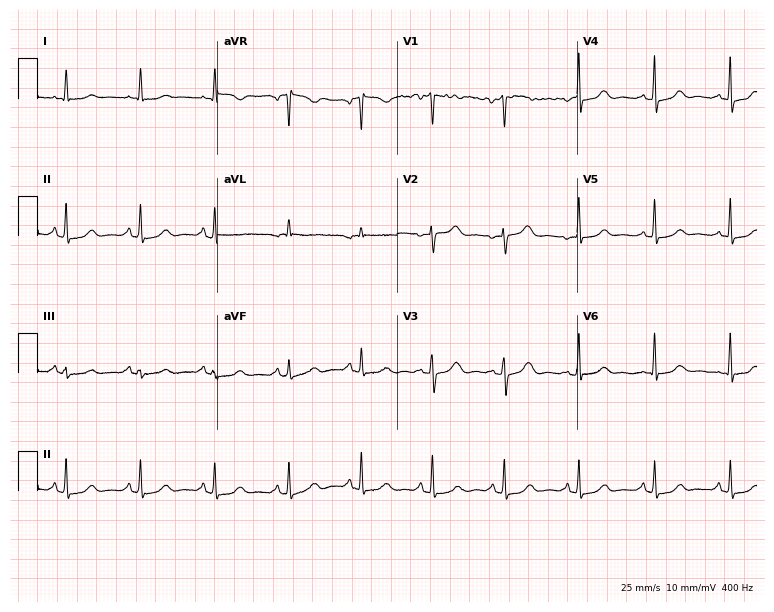
Standard 12-lead ECG recorded from a 54-year-old female patient. None of these six findings is recorded: first-degree AV block, right bundle branch block (RBBB), left bundle branch block (LBBB), sinus bradycardia, atrial fibrillation (AF), sinus tachycardia.